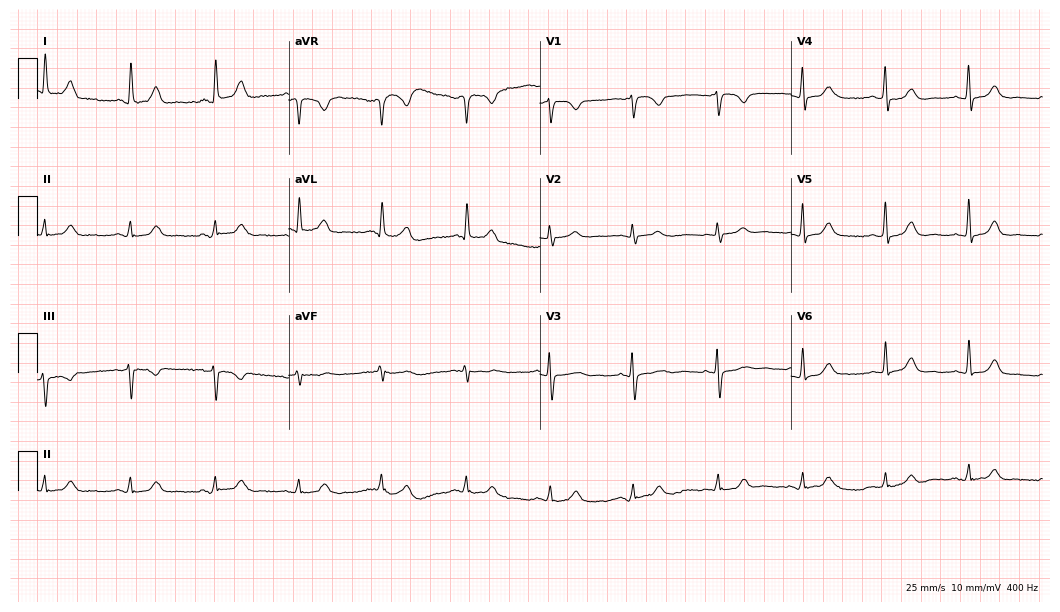
Standard 12-lead ECG recorded from a woman, 63 years old (10.2-second recording at 400 Hz). Read as a normal ECG.